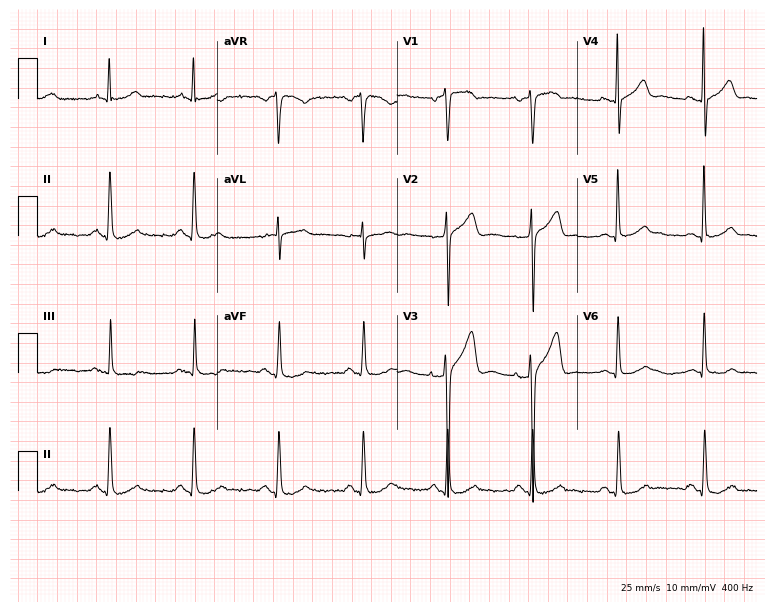
12-lead ECG from a male, 61 years old. Recorded interpretation: within normal limits.